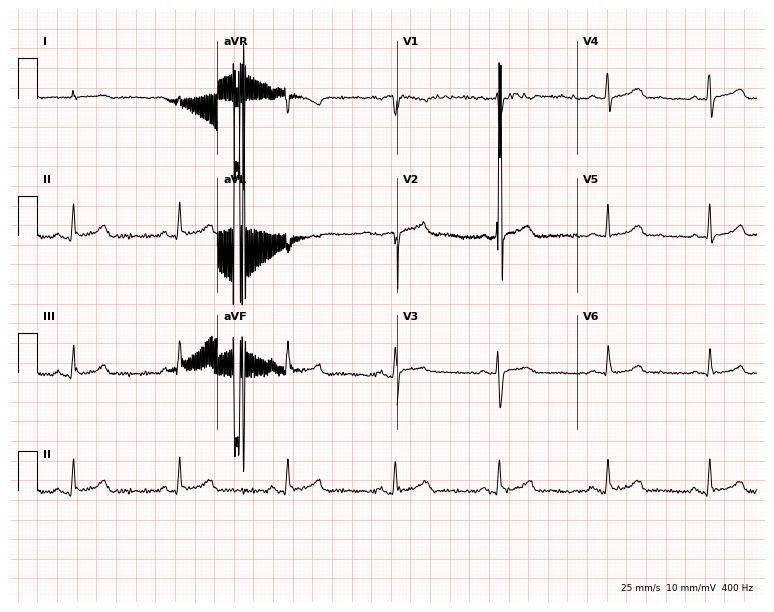
Standard 12-lead ECG recorded from a 37-year-old female (7.3-second recording at 400 Hz). Read as a normal ECG.